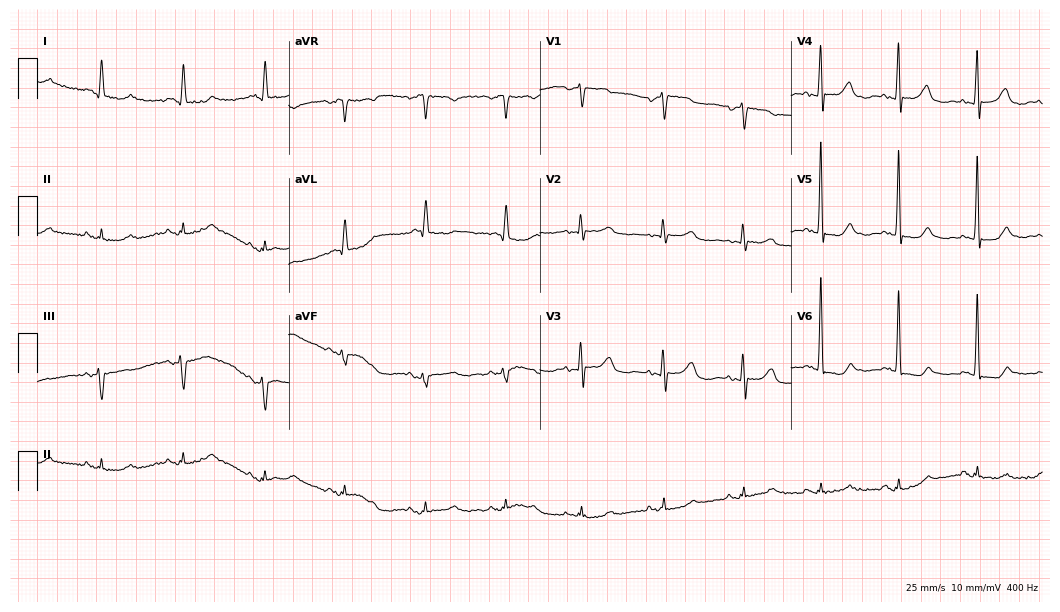
Electrocardiogram (10.2-second recording at 400 Hz), a female, 85 years old. Overall reading on record: normal ECG.